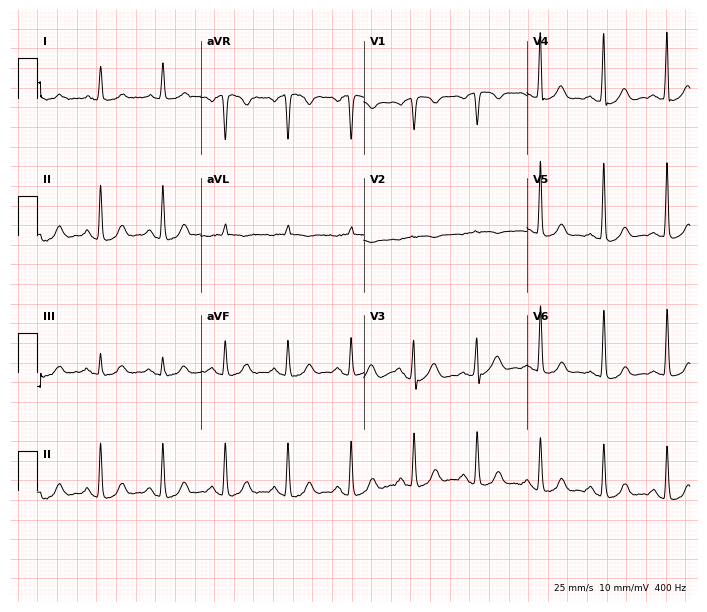
Electrocardiogram (6.7-second recording at 400 Hz), a 69-year-old male patient. Of the six screened findings (first-degree AV block, right bundle branch block, left bundle branch block, sinus bradycardia, atrial fibrillation, sinus tachycardia), none is recorded. Only these six findings were labelled.